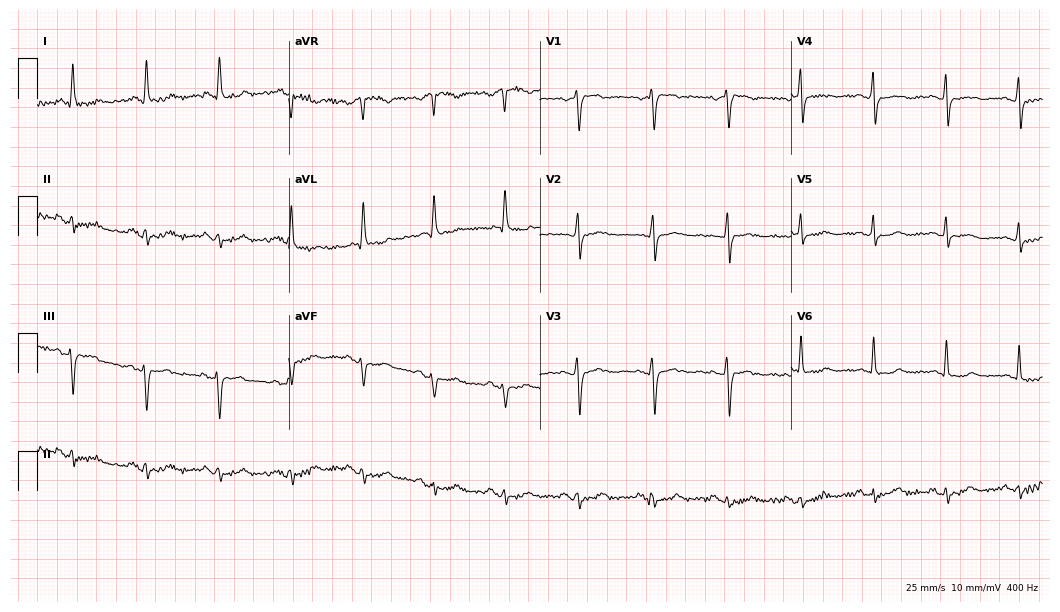
Electrocardiogram, a 79-year-old woman. Overall reading on record: normal ECG.